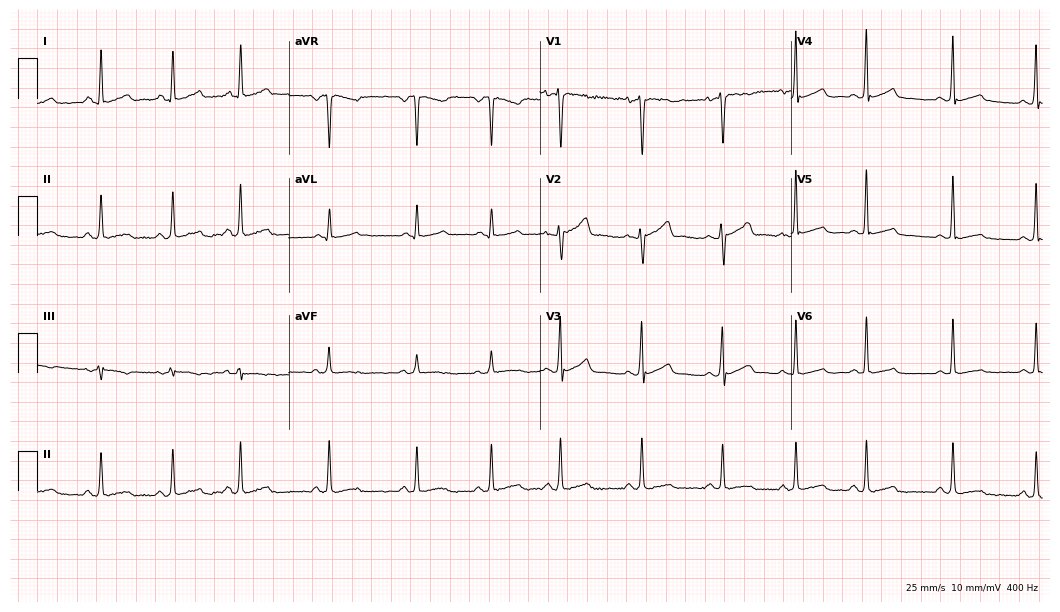
Resting 12-lead electrocardiogram. Patient: a female, 36 years old. Read as a normal ECG.